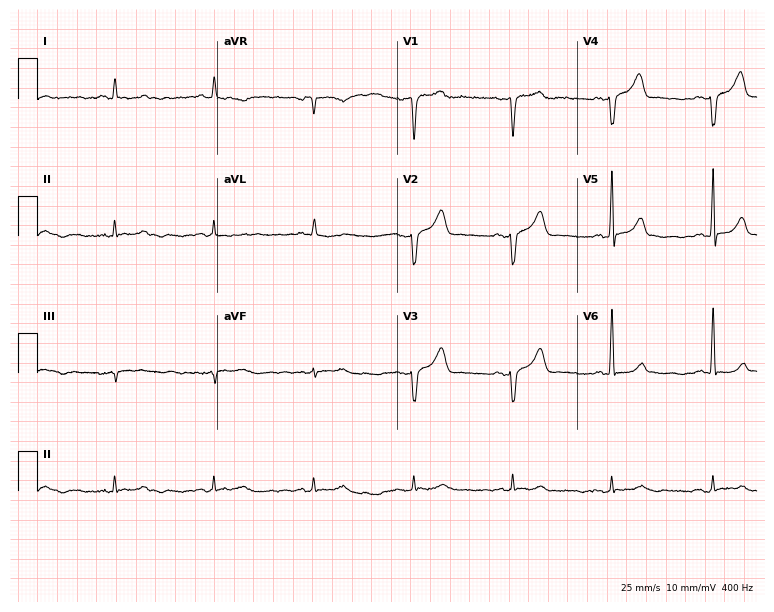
12-lead ECG (7.3-second recording at 400 Hz) from a 66-year-old male. Screened for six findings — first-degree AV block, right bundle branch block, left bundle branch block, sinus bradycardia, atrial fibrillation, sinus tachycardia — none is recorded. Other findings, if any, are not listed.